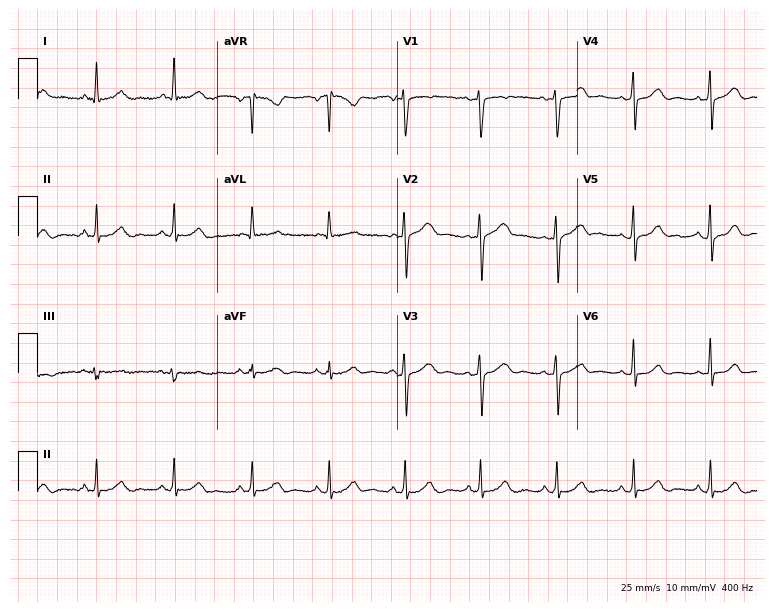
Electrocardiogram (7.3-second recording at 400 Hz), a 47-year-old female. Overall reading on record: normal ECG.